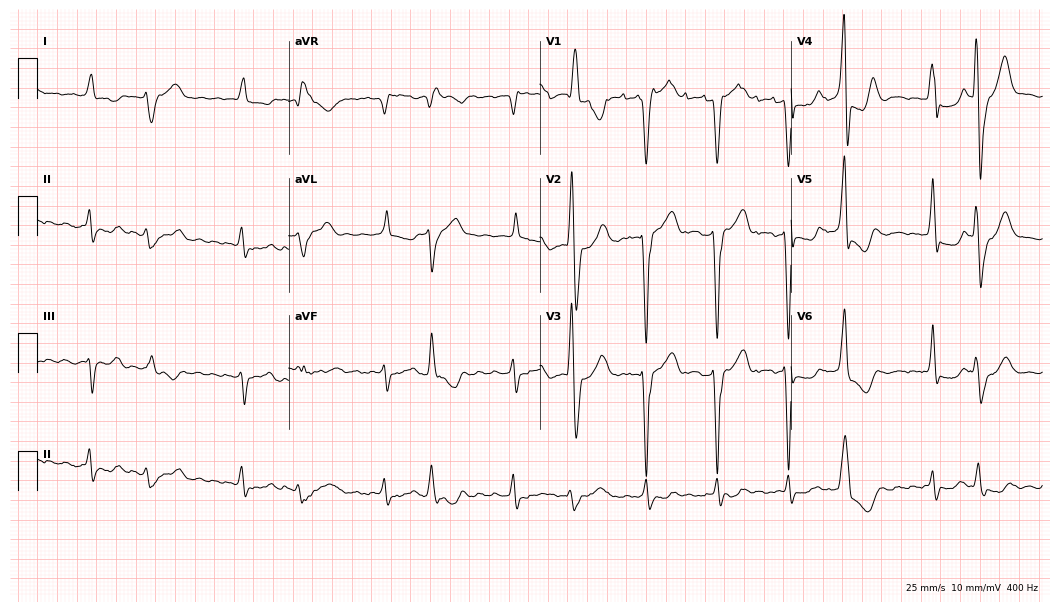
12-lead ECG from a male patient, 82 years old. Shows left bundle branch block, atrial fibrillation.